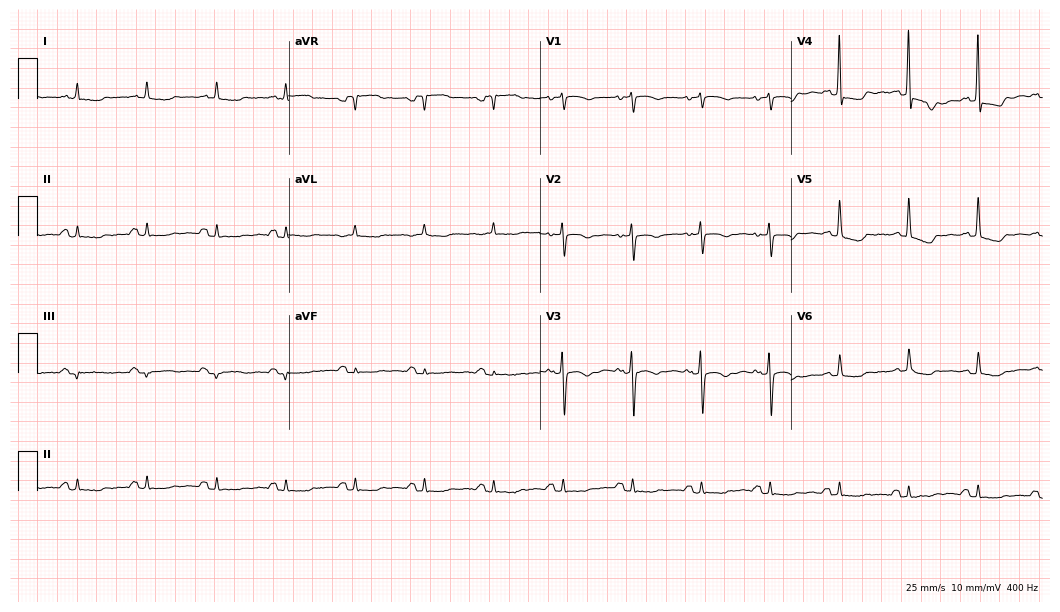
Standard 12-lead ECG recorded from an 85-year-old woman. None of these six findings is recorded: first-degree AV block, right bundle branch block, left bundle branch block, sinus bradycardia, atrial fibrillation, sinus tachycardia.